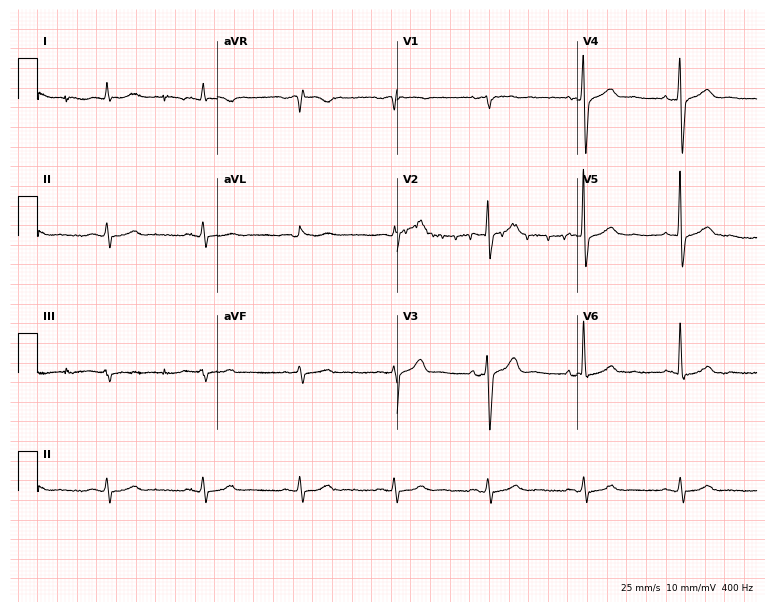
Standard 12-lead ECG recorded from a male patient, 67 years old. Read as a normal ECG.